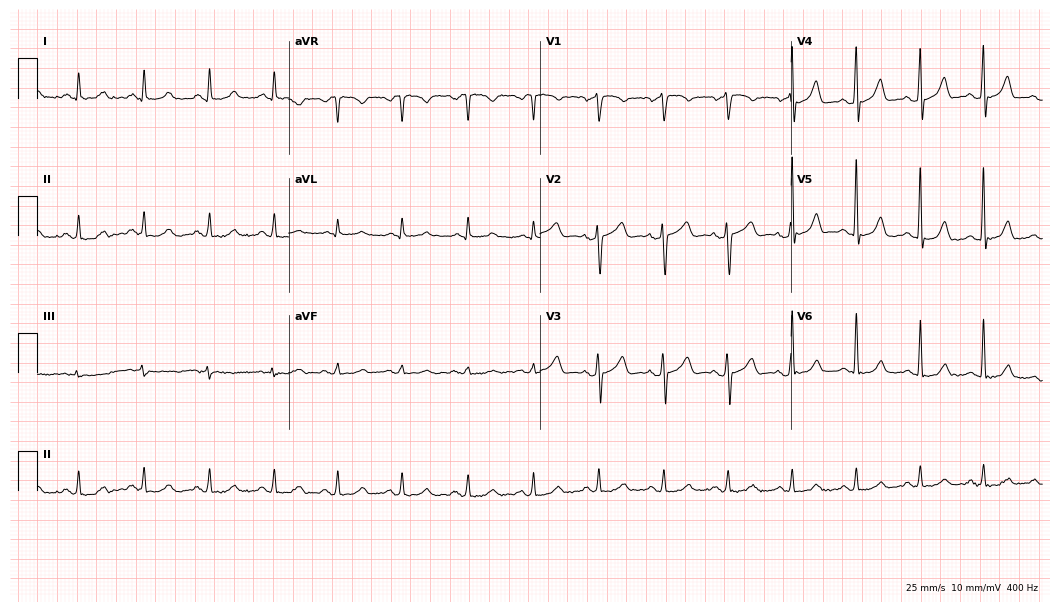
12-lead ECG (10.2-second recording at 400 Hz) from a male, 63 years old. Screened for six findings — first-degree AV block, right bundle branch block, left bundle branch block, sinus bradycardia, atrial fibrillation, sinus tachycardia — none is recorded.